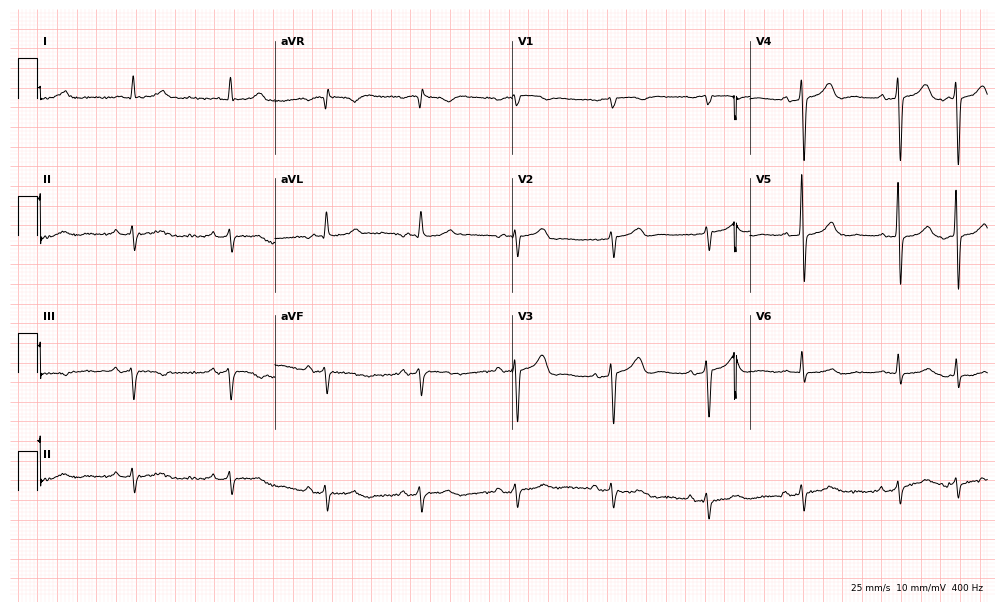
Electrocardiogram (9.7-second recording at 400 Hz), an 80-year-old male patient. Of the six screened findings (first-degree AV block, right bundle branch block (RBBB), left bundle branch block (LBBB), sinus bradycardia, atrial fibrillation (AF), sinus tachycardia), none is recorded.